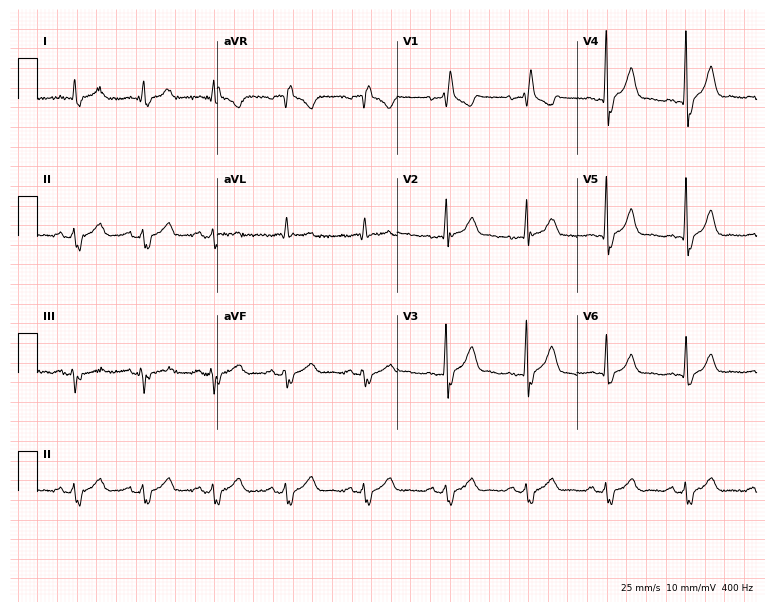
Resting 12-lead electrocardiogram (7.3-second recording at 400 Hz). Patient: a 66-year-old male. The tracing shows right bundle branch block (RBBB).